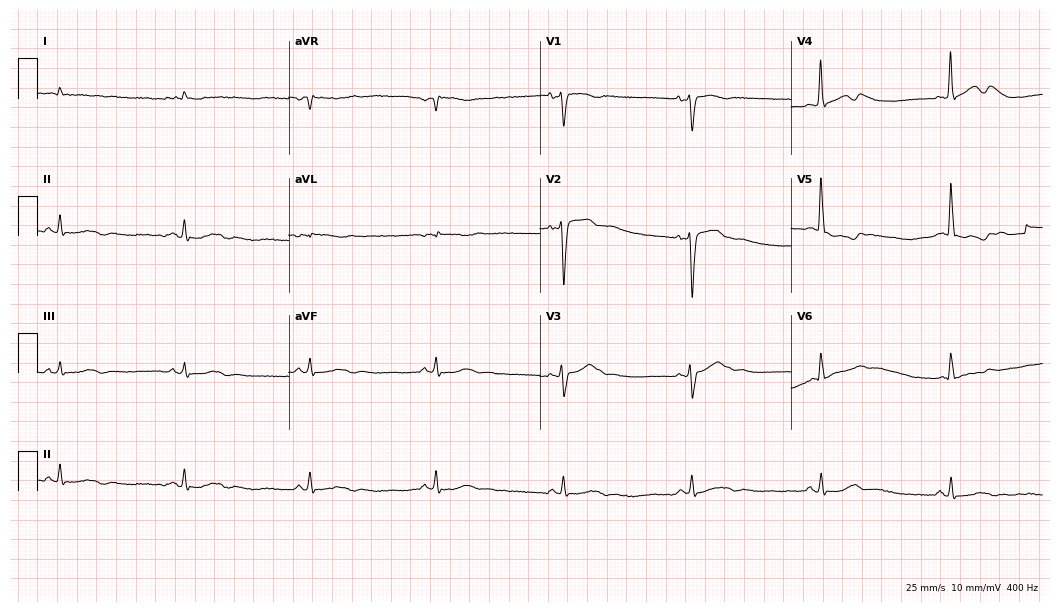
Electrocardiogram, a 50-year-old male. Interpretation includes sinus bradycardia (a sinus rate of 50 beats per minute or less).